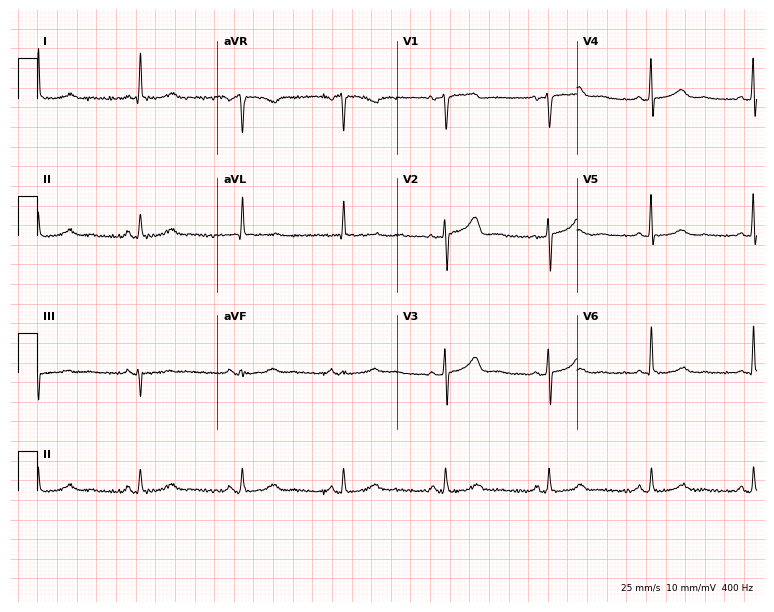
12-lead ECG (7.3-second recording at 400 Hz) from a 52-year-old female. Labelled as a normal ECG.